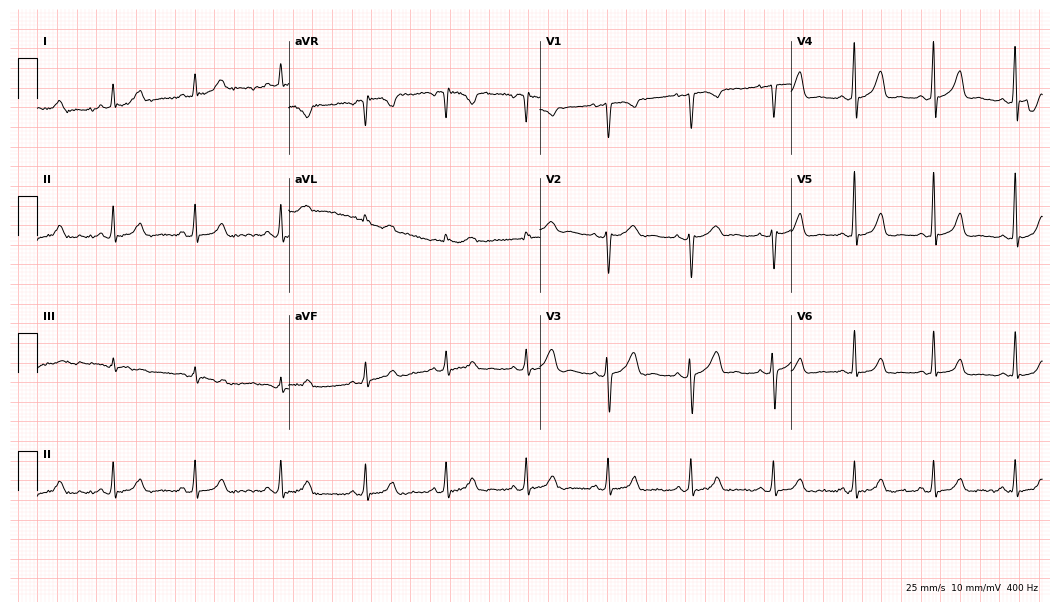
Electrocardiogram (10.2-second recording at 400 Hz), a 30-year-old female. Overall reading on record: normal ECG.